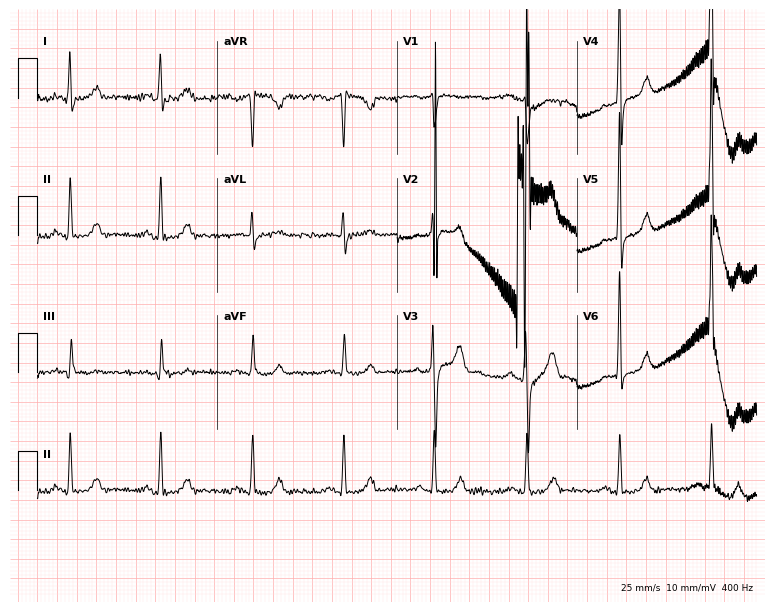
Standard 12-lead ECG recorded from a 52-year-old man. None of these six findings is recorded: first-degree AV block, right bundle branch block (RBBB), left bundle branch block (LBBB), sinus bradycardia, atrial fibrillation (AF), sinus tachycardia. Only these six findings were labelled.